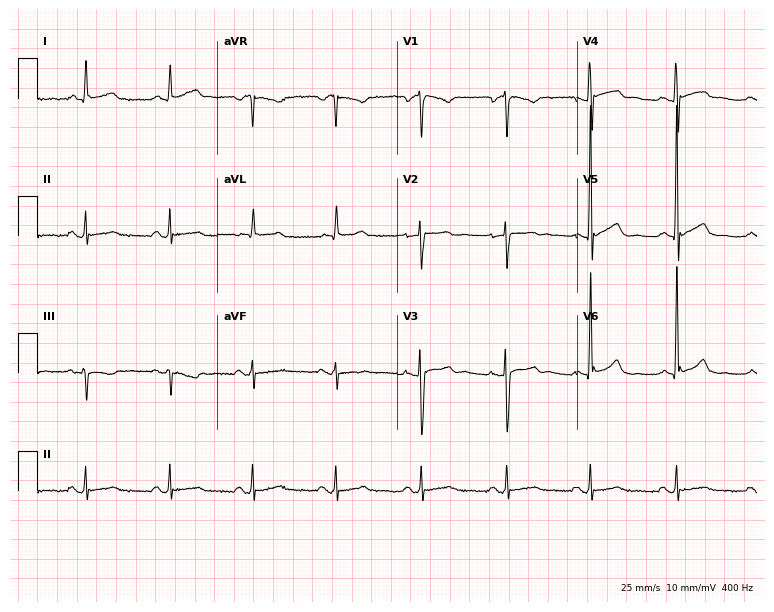
12-lead ECG from a male, 53 years old. No first-degree AV block, right bundle branch block (RBBB), left bundle branch block (LBBB), sinus bradycardia, atrial fibrillation (AF) or sinus tachycardia recorded for this tracing.